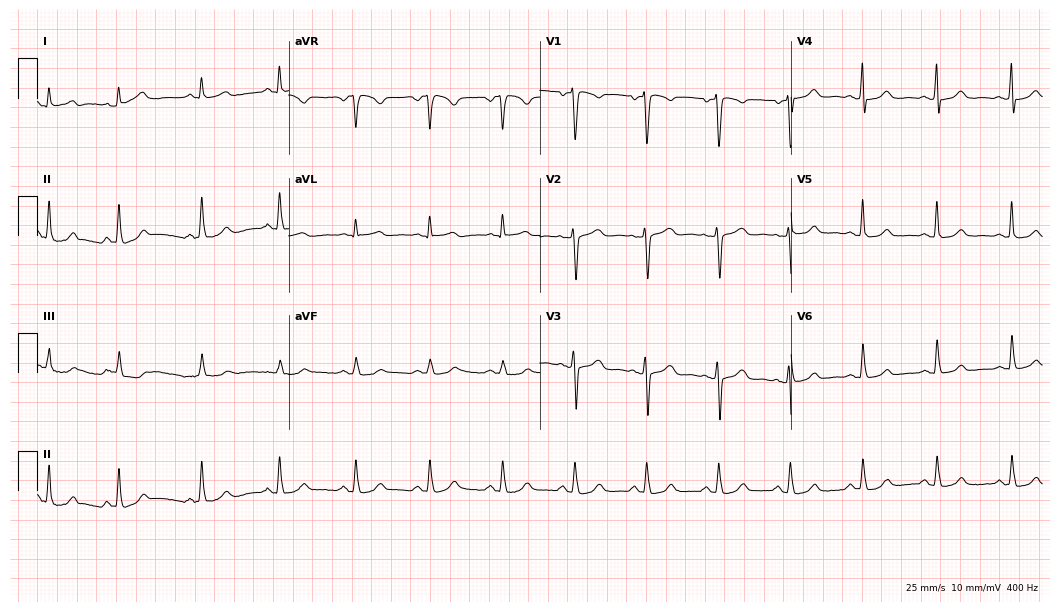
Standard 12-lead ECG recorded from a 39-year-old female patient. Read as a normal ECG.